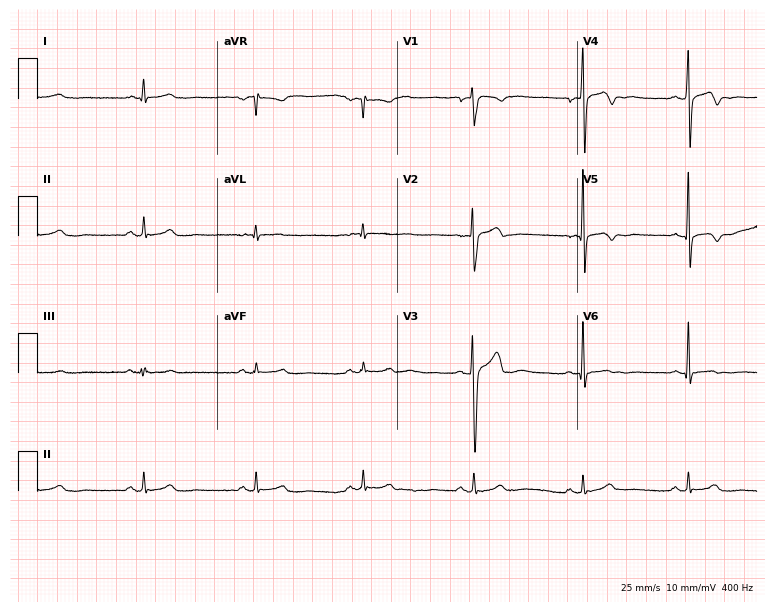
Electrocardiogram, a 31-year-old female. Of the six screened findings (first-degree AV block, right bundle branch block, left bundle branch block, sinus bradycardia, atrial fibrillation, sinus tachycardia), none is recorded. Other findings, if any, are not listed.